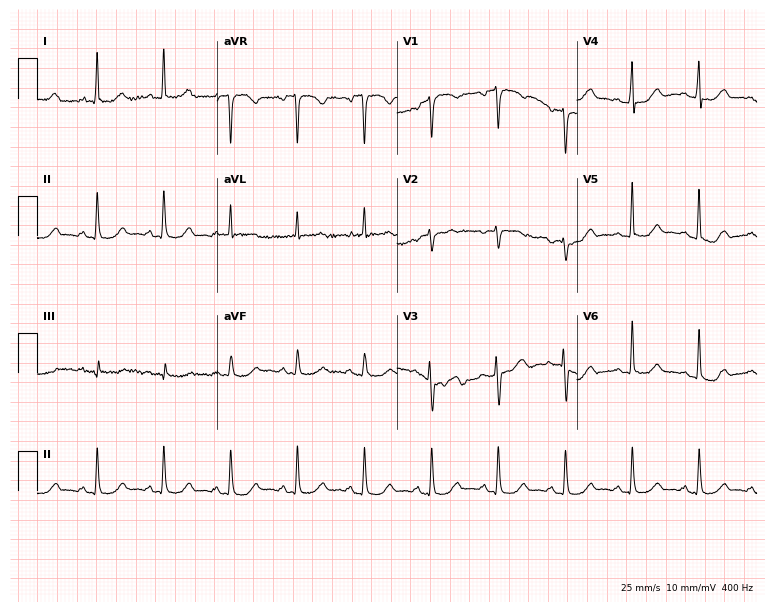
12-lead ECG (7.3-second recording at 400 Hz) from a female patient, 56 years old. Screened for six findings — first-degree AV block, right bundle branch block, left bundle branch block, sinus bradycardia, atrial fibrillation, sinus tachycardia — none is recorded.